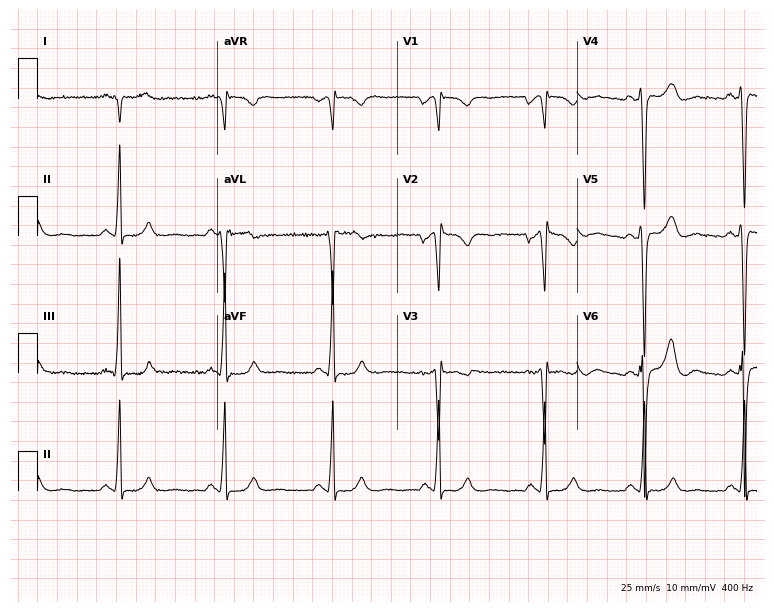
Electrocardiogram, a male patient, 36 years old. Interpretation includes right bundle branch block.